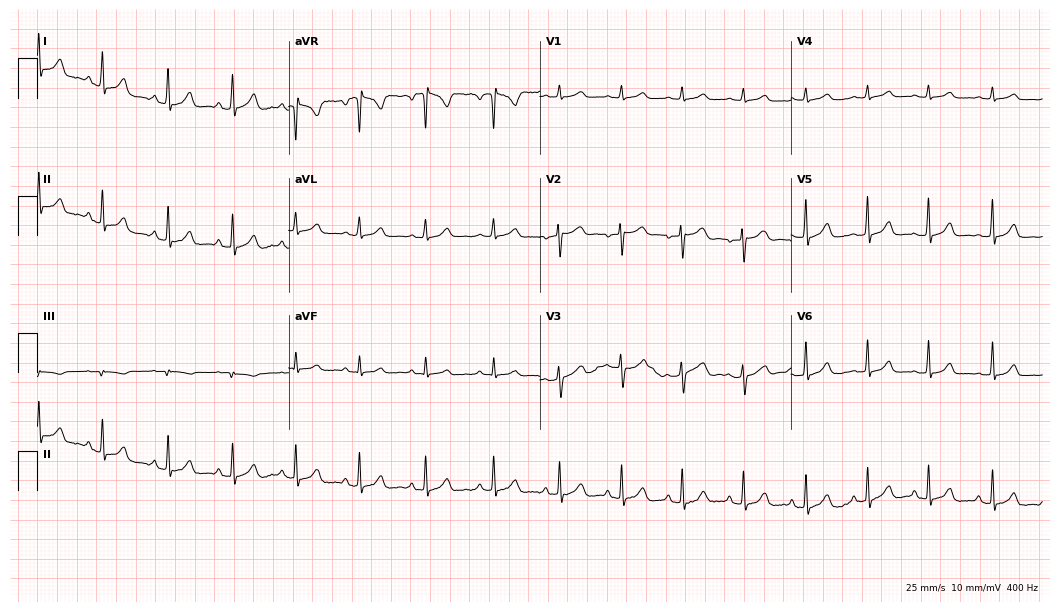
Standard 12-lead ECG recorded from a 19-year-old female patient (10.2-second recording at 400 Hz). Read as a normal ECG.